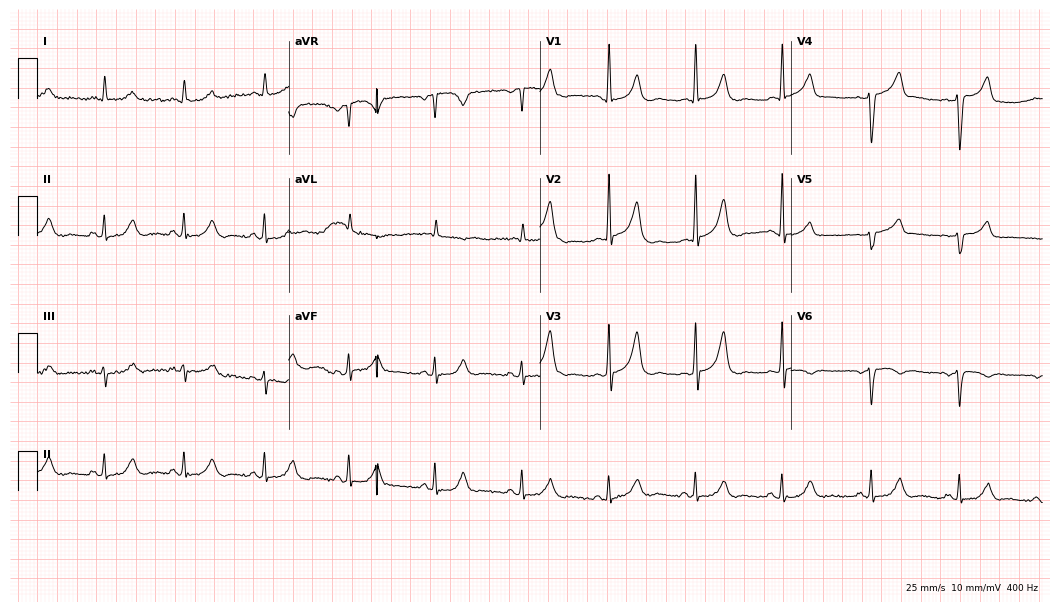
12-lead ECG from a 68-year-old male (10.2-second recording at 400 Hz). No first-degree AV block, right bundle branch block, left bundle branch block, sinus bradycardia, atrial fibrillation or sinus tachycardia recorded for this tracing. Only these six findings were labelled.